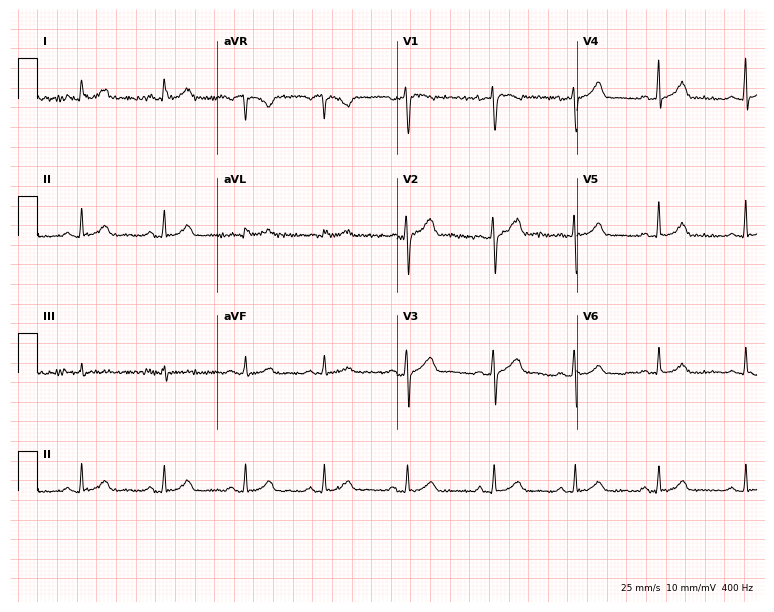
Resting 12-lead electrocardiogram. Patient: a female, 46 years old. Read as a normal ECG.